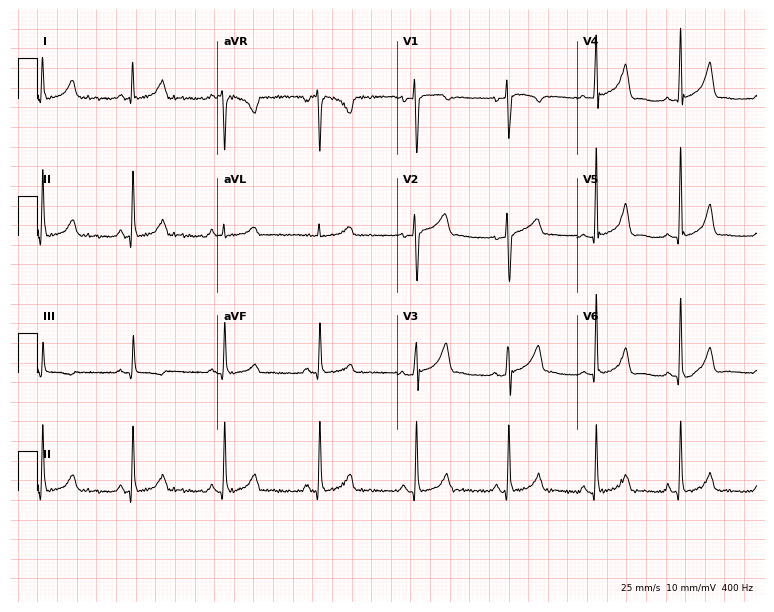
ECG — a woman, 35 years old. Labelled as a normal ECG.